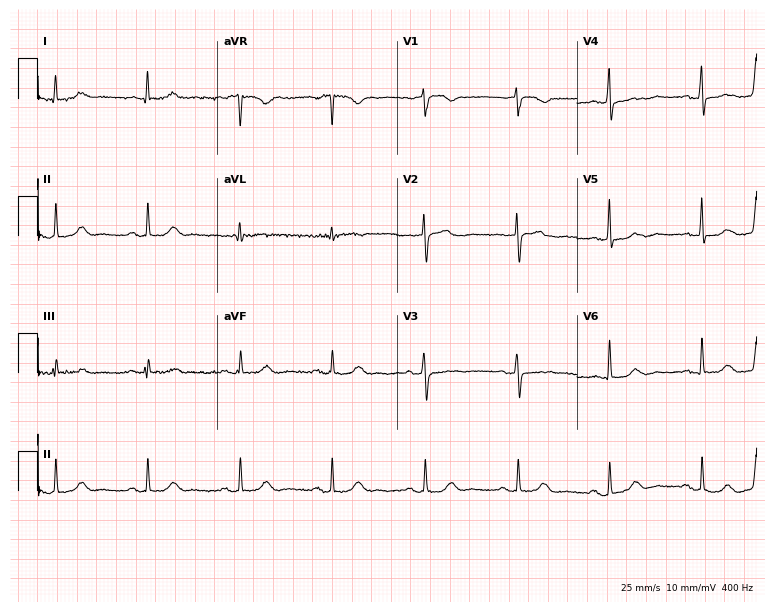
12-lead ECG from a 78-year-old female patient (7.3-second recording at 400 Hz). Recorded interpretation: within normal limits.